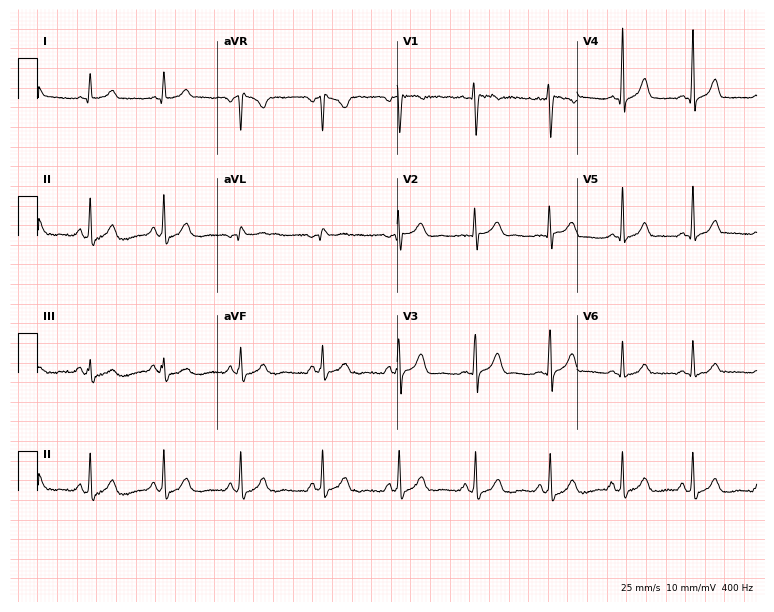
Resting 12-lead electrocardiogram (7.3-second recording at 400 Hz). Patient: a 26-year-old woman. None of these six findings is recorded: first-degree AV block, right bundle branch block, left bundle branch block, sinus bradycardia, atrial fibrillation, sinus tachycardia. Findings outside these six are not listed.